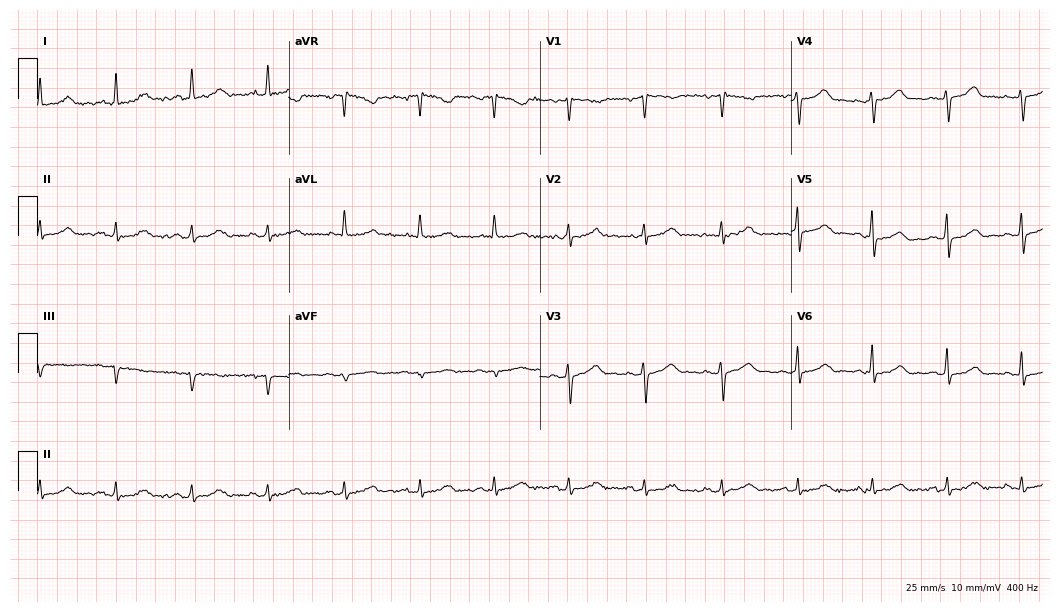
Resting 12-lead electrocardiogram (10.2-second recording at 400 Hz). Patient: a woman, 53 years old. Read as a normal ECG.